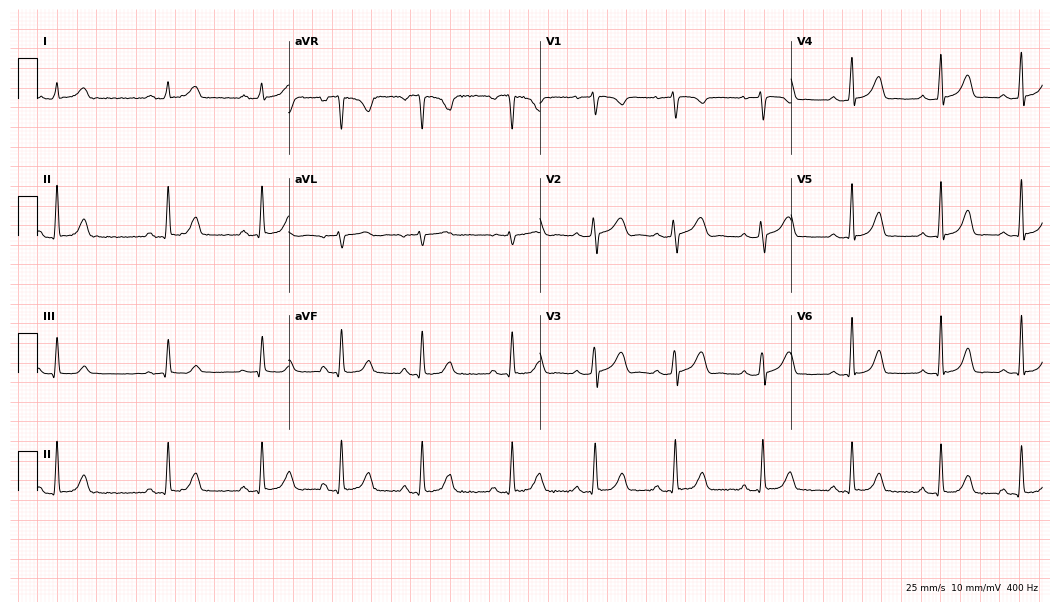
12-lead ECG (10.2-second recording at 400 Hz) from a 26-year-old female patient. Labelled as a normal ECG.